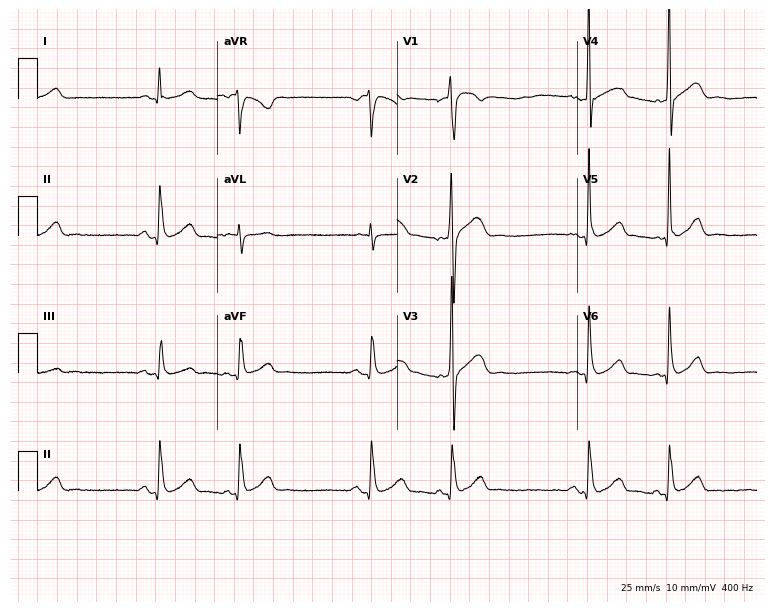
Resting 12-lead electrocardiogram. Patient: a 32-year-old male. None of these six findings is recorded: first-degree AV block, right bundle branch block, left bundle branch block, sinus bradycardia, atrial fibrillation, sinus tachycardia.